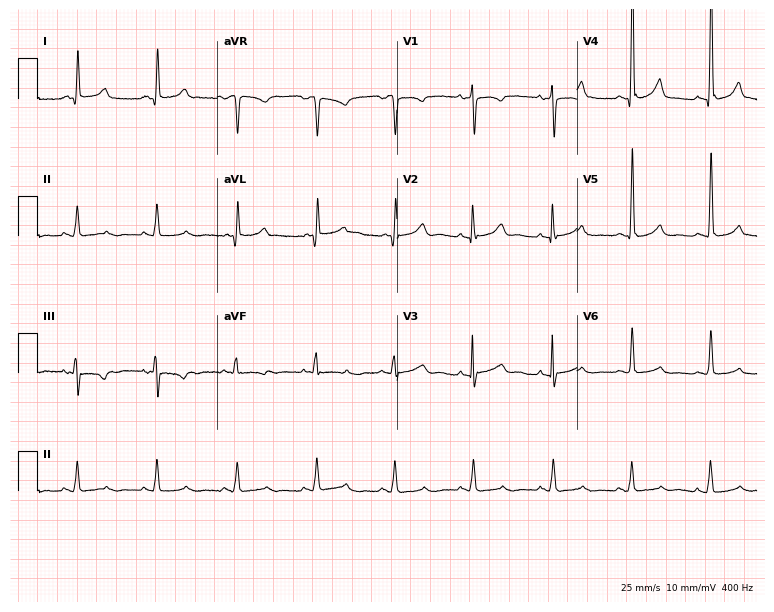
12-lead ECG (7.3-second recording at 400 Hz) from a female, 33 years old. Labelled as a normal ECG.